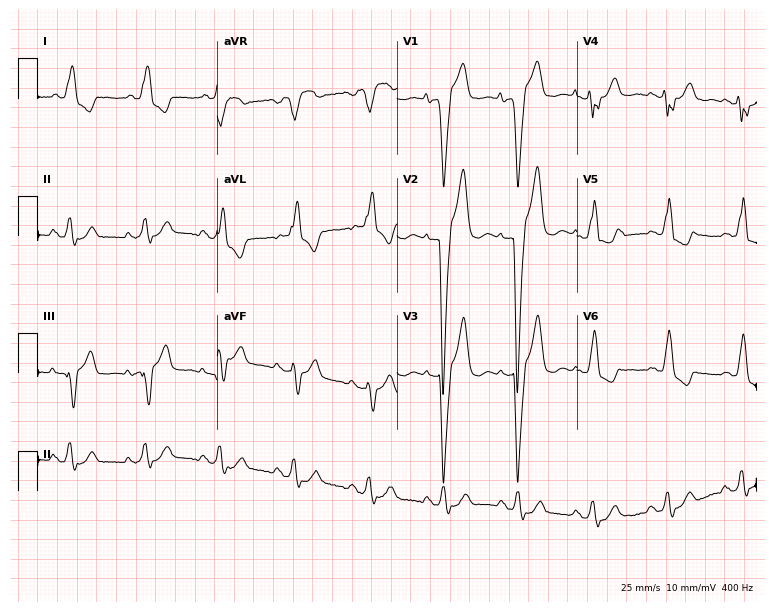
ECG (7.3-second recording at 400 Hz) — a 75-year-old female. Findings include left bundle branch block (LBBB).